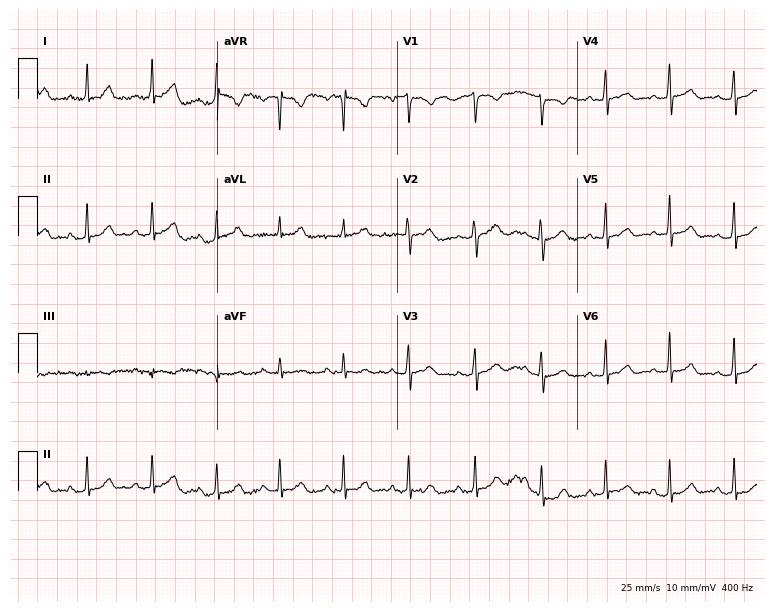
ECG — a 21-year-old female patient. Labelled as a normal ECG.